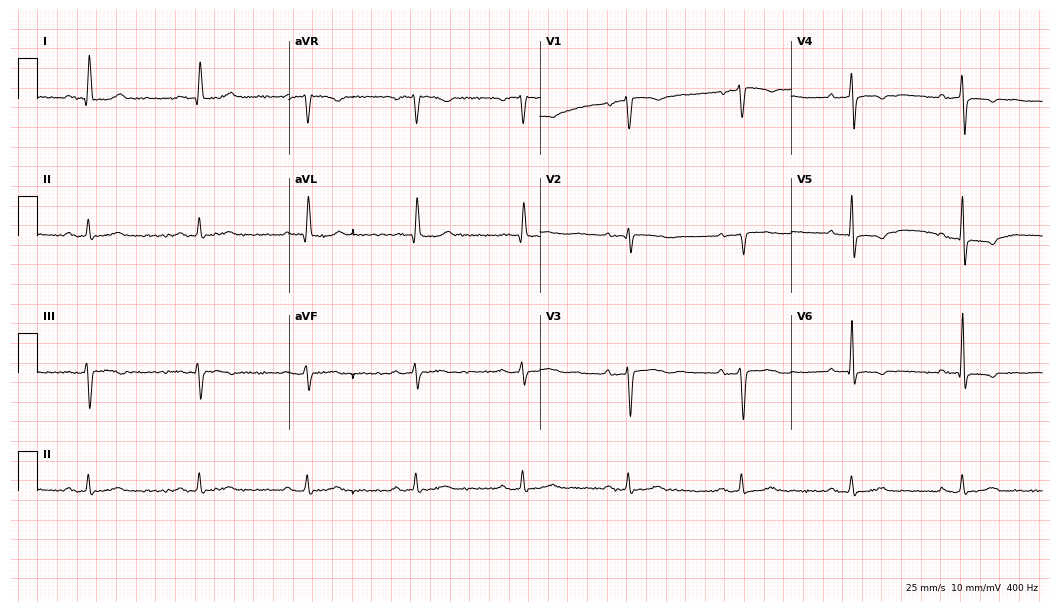
12-lead ECG (10.2-second recording at 400 Hz) from a male patient, 74 years old. Screened for six findings — first-degree AV block, right bundle branch block (RBBB), left bundle branch block (LBBB), sinus bradycardia, atrial fibrillation (AF), sinus tachycardia — none is recorded.